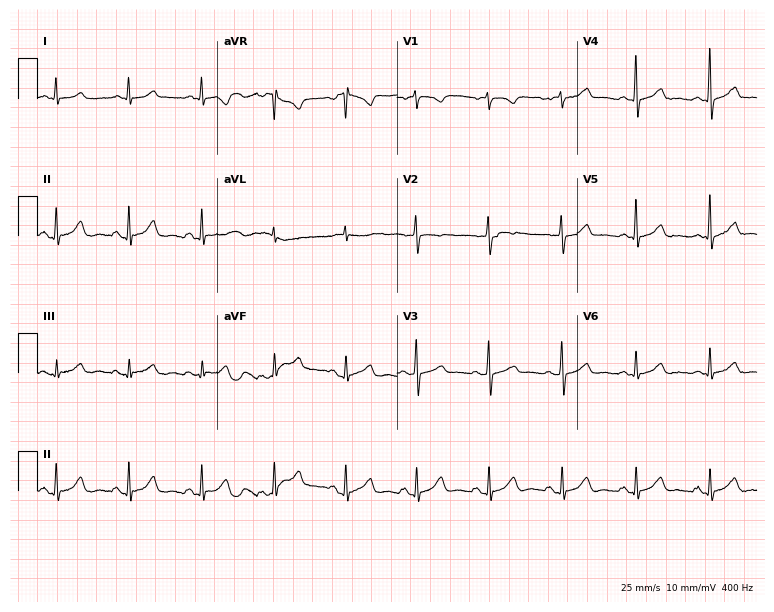
Electrocardiogram, a 57-year-old woman. Overall reading on record: normal ECG.